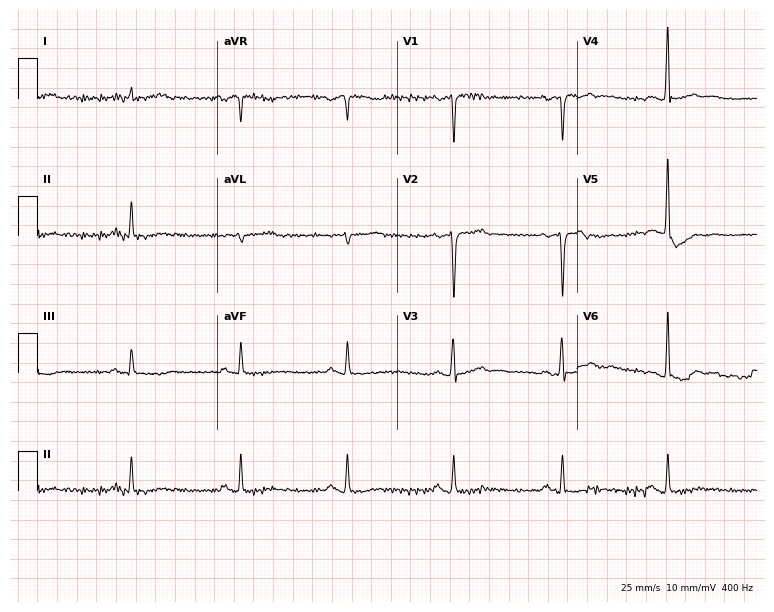
Standard 12-lead ECG recorded from a 46-year-old male patient. Read as a normal ECG.